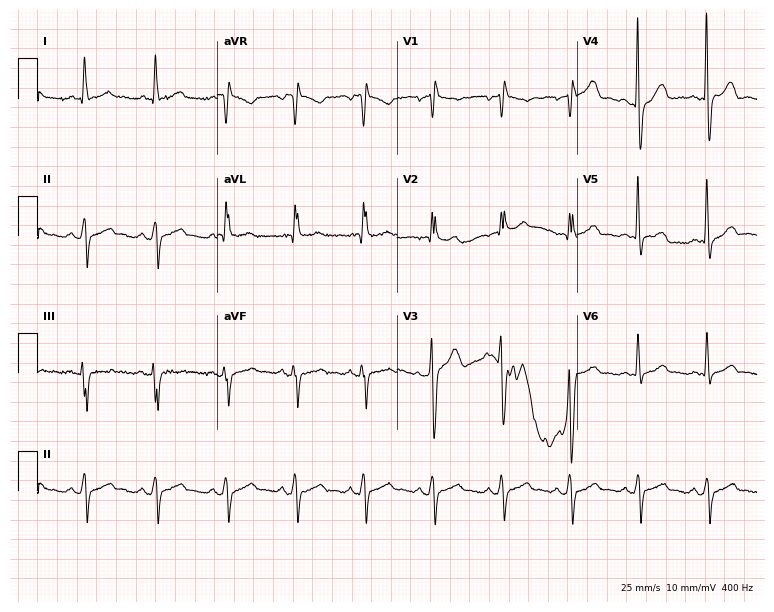
Electrocardiogram, a male, 69 years old. Of the six screened findings (first-degree AV block, right bundle branch block, left bundle branch block, sinus bradycardia, atrial fibrillation, sinus tachycardia), none is recorded.